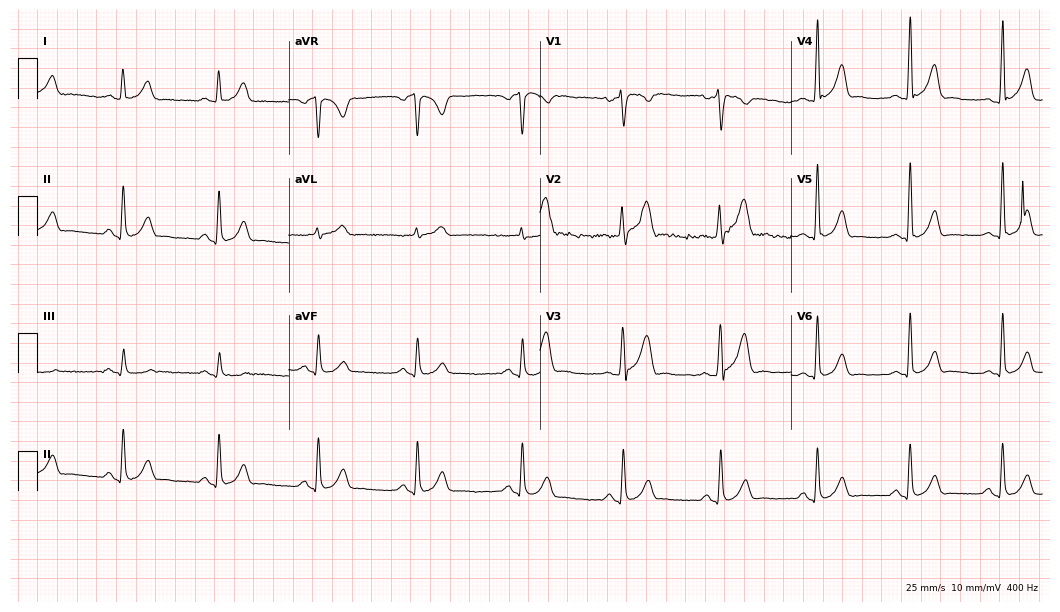
Standard 12-lead ECG recorded from a 34-year-old man (10.2-second recording at 400 Hz). None of these six findings is recorded: first-degree AV block, right bundle branch block, left bundle branch block, sinus bradycardia, atrial fibrillation, sinus tachycardia. Only these six findings were labelled.